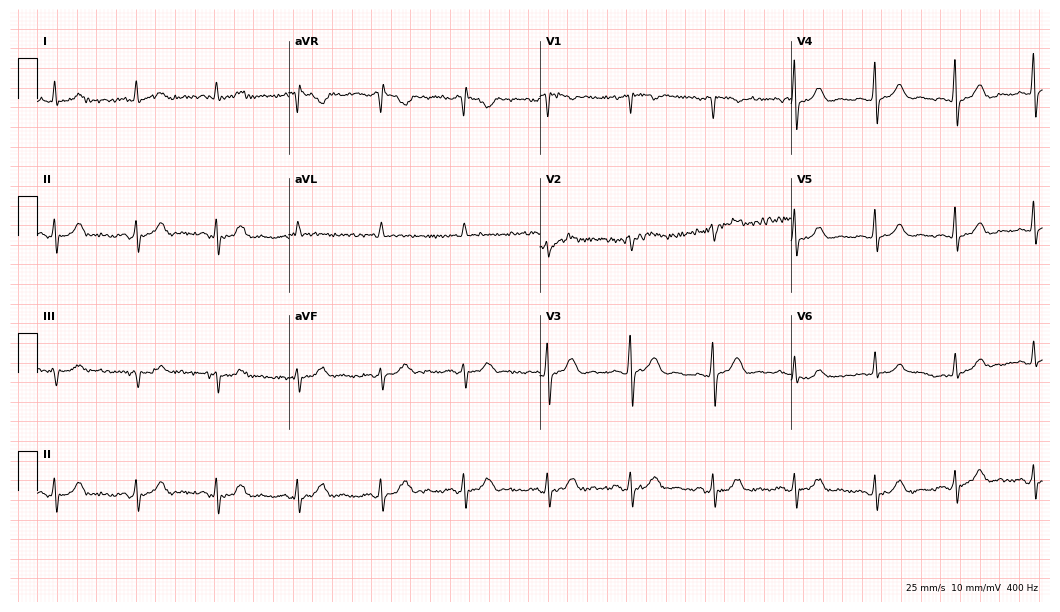
Electrocardiogram, a 61-year-old male patient. Overall reading on record: normal ECG.